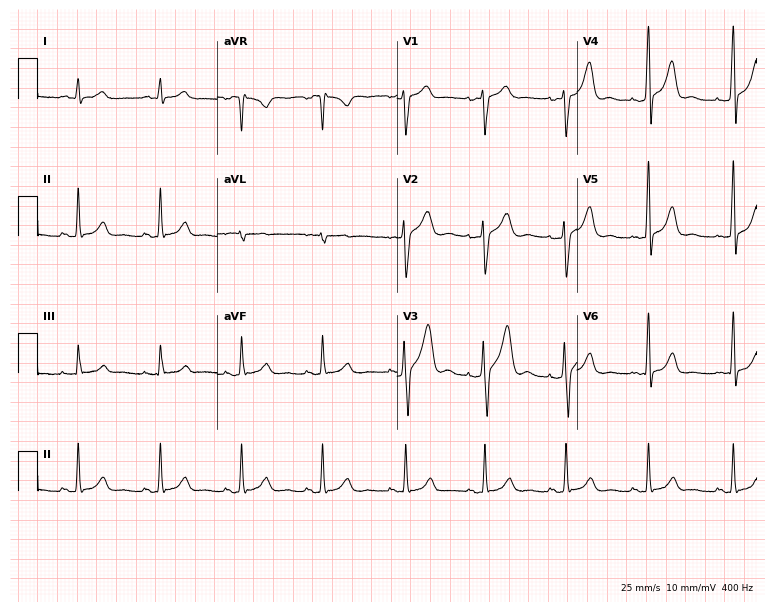
Resting 12-lead electrocardiogram (7.3-second recording at 400 Hz). Patient: a male, 29 years old. None of these six findings is recorded: first-degree AV block, right bundle branch block (RBBB), left bundle branch block (LBBB), sinus bradycardia, atrial fibrillation (AF), sinus tachycardia.